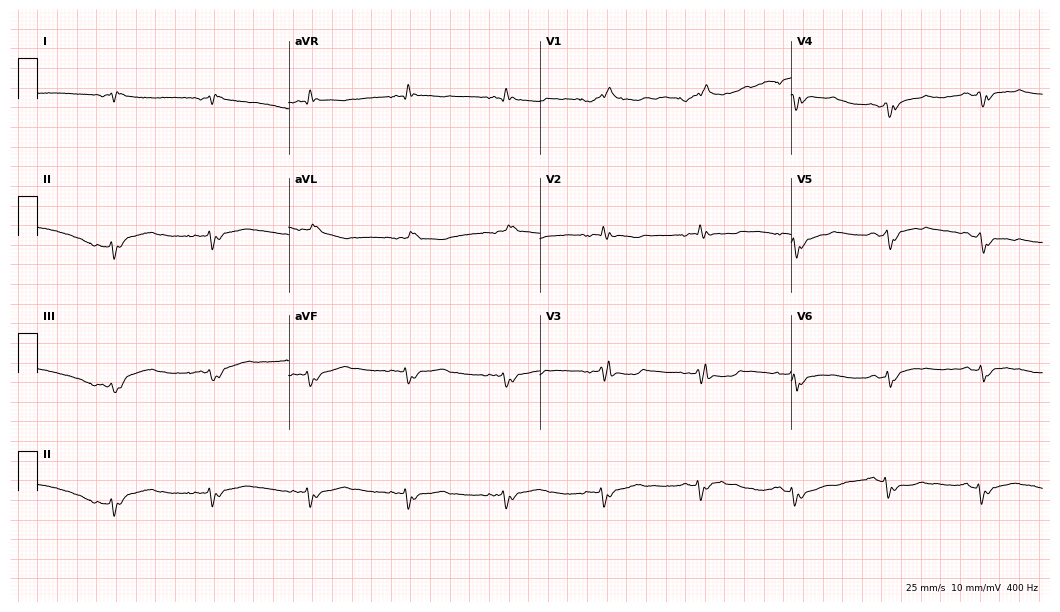
Resting 12-lead electrocardiogram (10.2-second recording at 400 Hz). Patient: a male, 66 years old. None of these six findings is recorded: first-degree AV block, right bundle branch block, left bundle branch block, sinus bradycardia, atrial fibrillation, sinus tachycardia.